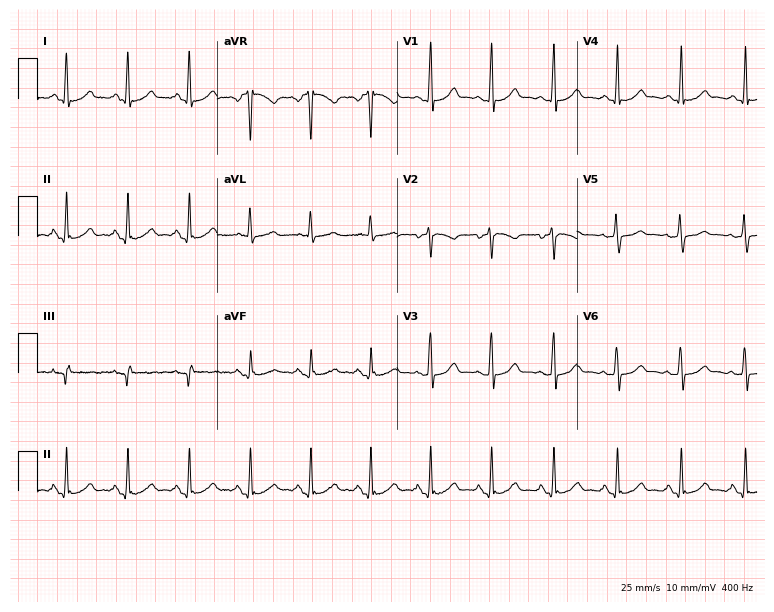
Resting 12-lead electrocardiogram. Patient: a female, 45 years old. None of these six findings is recorded: first-degree AV block, right bundle branch block, left bundle branch block, sinus bradycardia, atrial fibrillation, sinus tachycardia.